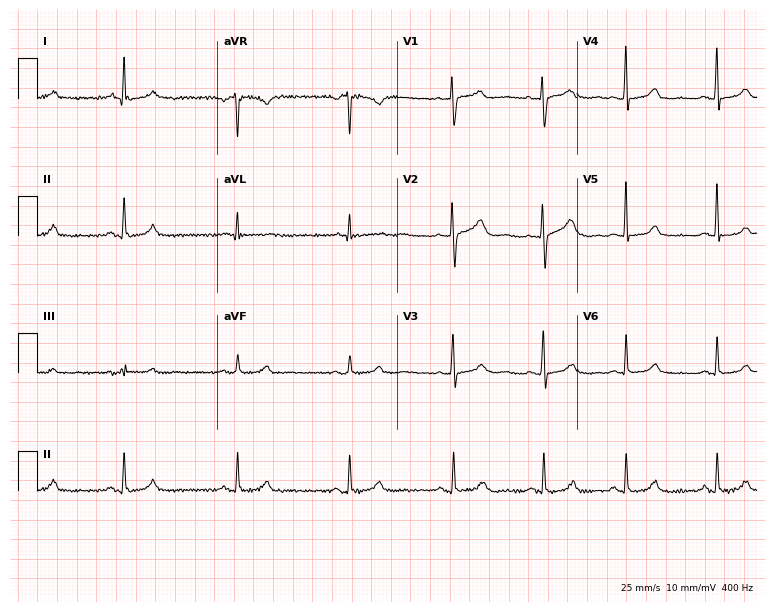
12-lead ECG from a 52-year-old female. Screened for six findings — first-degree AV block, right bundle branch block, left bundle branch block, sinus bradycardia, atrial fibrillation, sinus tachycardia — none is recorded. Only these six findings were labelled.